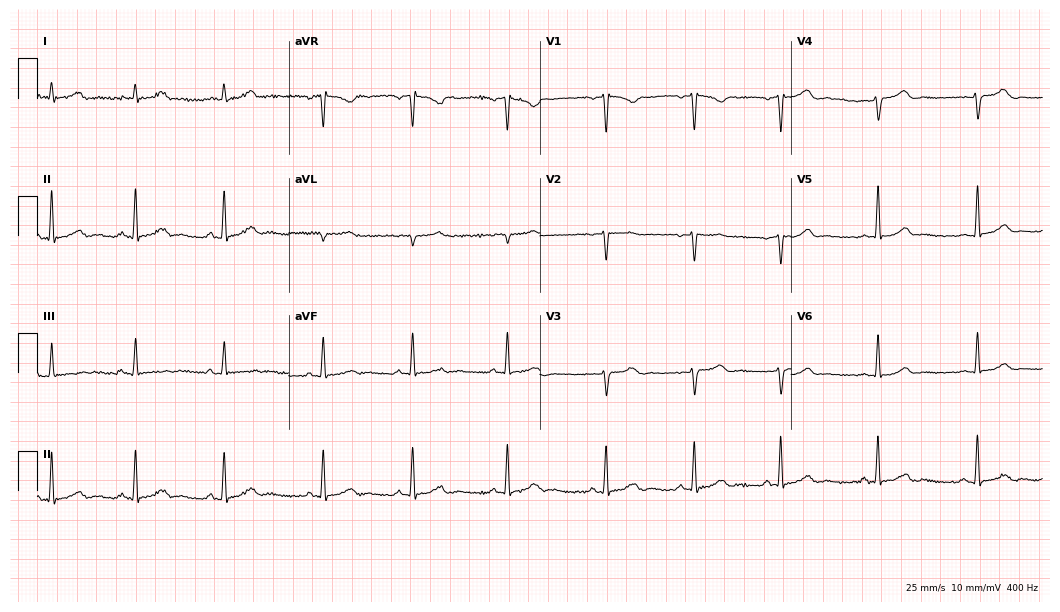
Standard 12-lead ECG recorded from a 20-year-old female (10.2-second recording at 400 Hz). Read as a normal ECG.